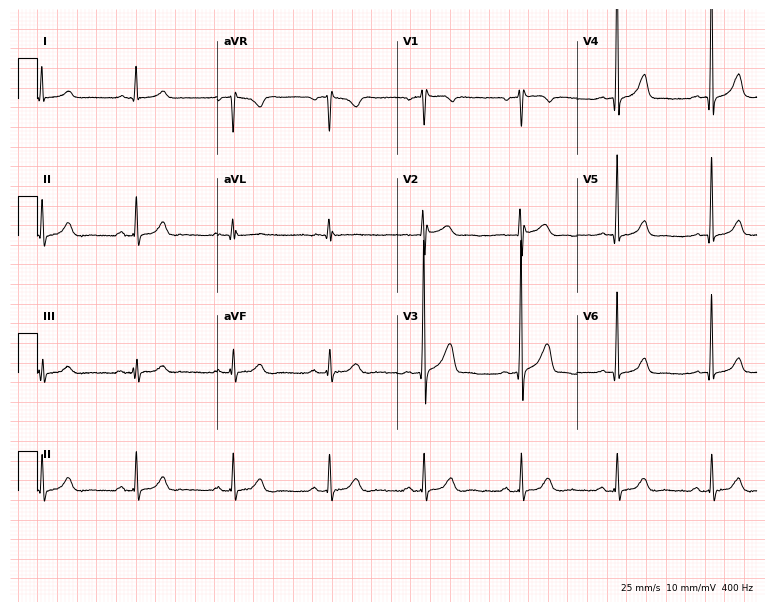
12-lead ECG from a 50-year-old male patient (7.3-second recording at 400 Hz). Recorded interpretation: within normal limits.